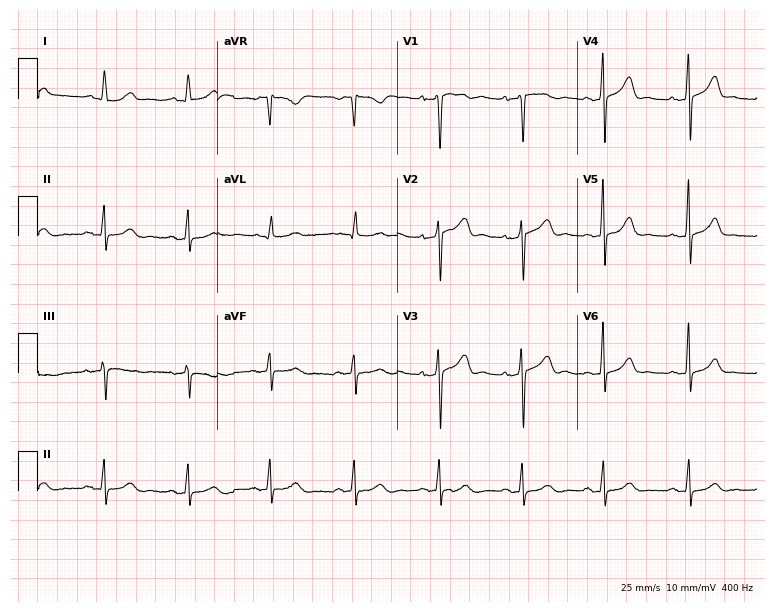
12-lead ECG from a female patient, 46 years old (7.3-second recording at 400 Hz). Recorded interpretation: within normal limits.